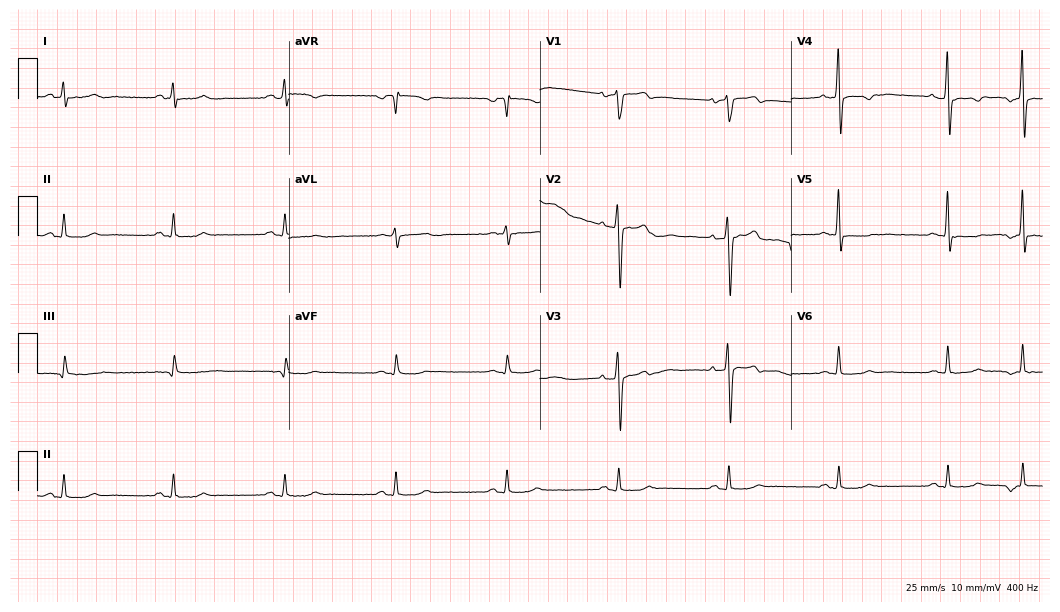
ECG — a 59-year-old male. Screened for six findings — first-degree AV block, right bundle branch block (RBBB), left bundle branch block (LBBB), sinus bradycardia, atrial fibrillation (AF), sinus tachycardia — none is recorded.